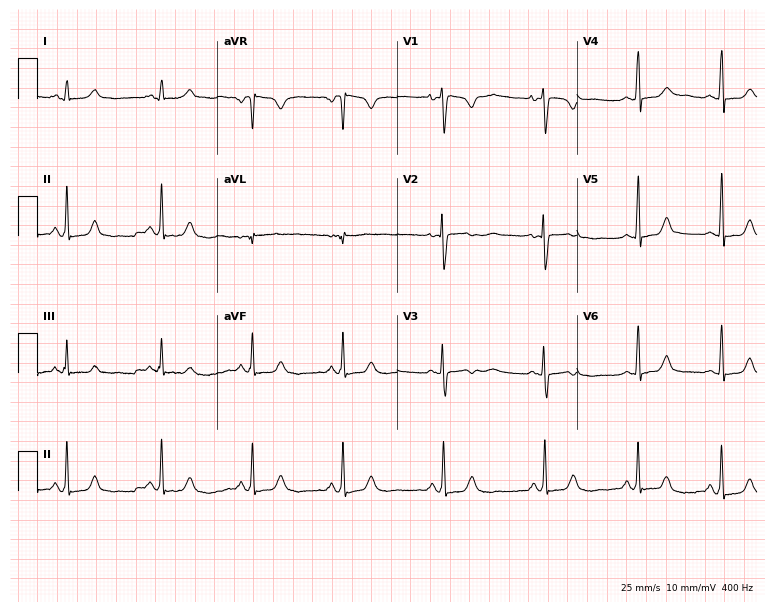
ECG (7.3-second recording at 400 Hz) — a woman, 17 years old. Labelled as a normal ECG.